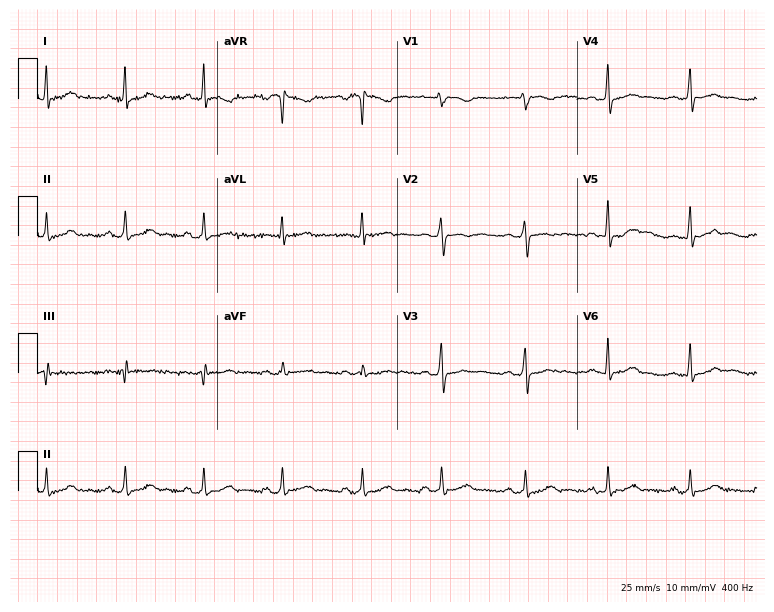
12-lead ECG from a 45-year-old female (7.3-second recording at 400 Hz). No first-degree AV block, right bundle branch block (RBBB), left bundle branch block (LBBB), sinus bradycardia, atrial fibrillation (AF) or sinus tachycardia recorded for this tracing.